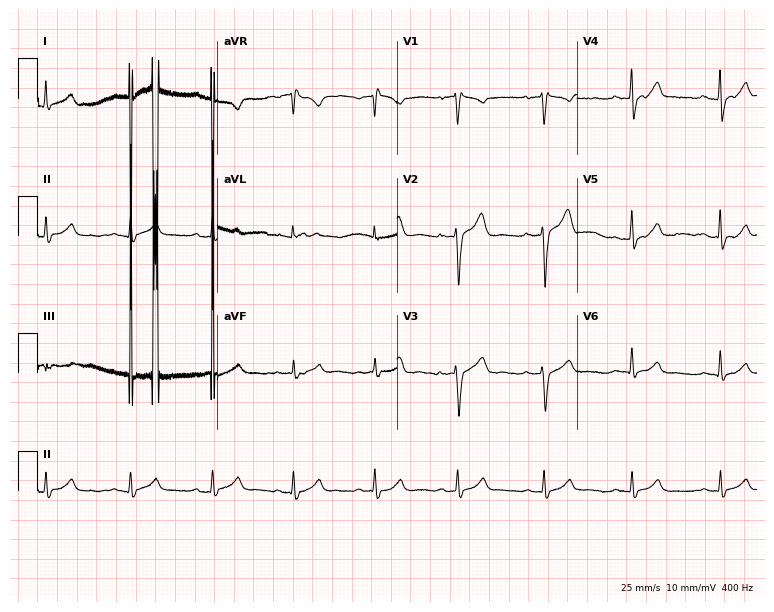
Standard 12-lead ECG recorded from a 43-year-old male patient (7.3-second recording at 400 Hz). Read as a normal ECG.